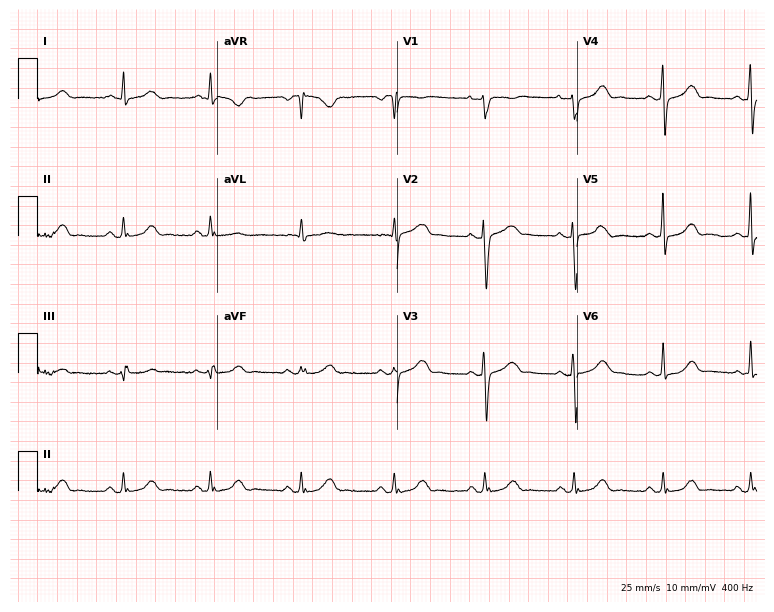
Electrocardiogram, a 47-year-old female patient. Of the six screened findings (first-degree AV block, right bundle branch block, left bundle branch block, sinus bradycardia, atrial fibrillation, sinus tachycardia), none is recorded. Findings outside these six are not listed.